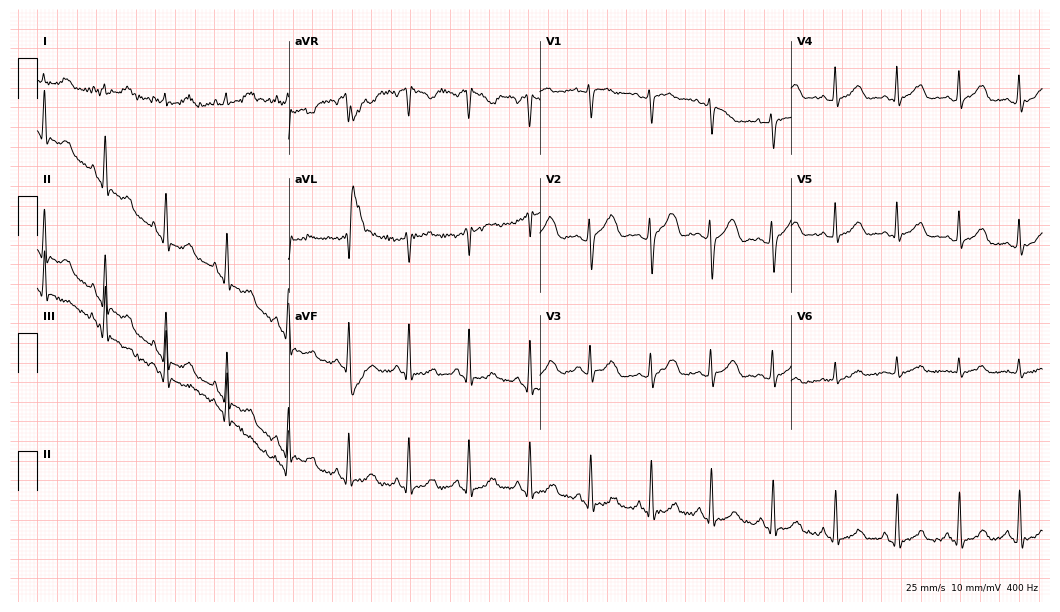
12-lead ECG from a 54-year-old female. No first-degree AV block, right bundle branch block, left bundle branch block, sinus bradycardia, atrial fibrillation or sinus tachycardia recorded for this tracing.